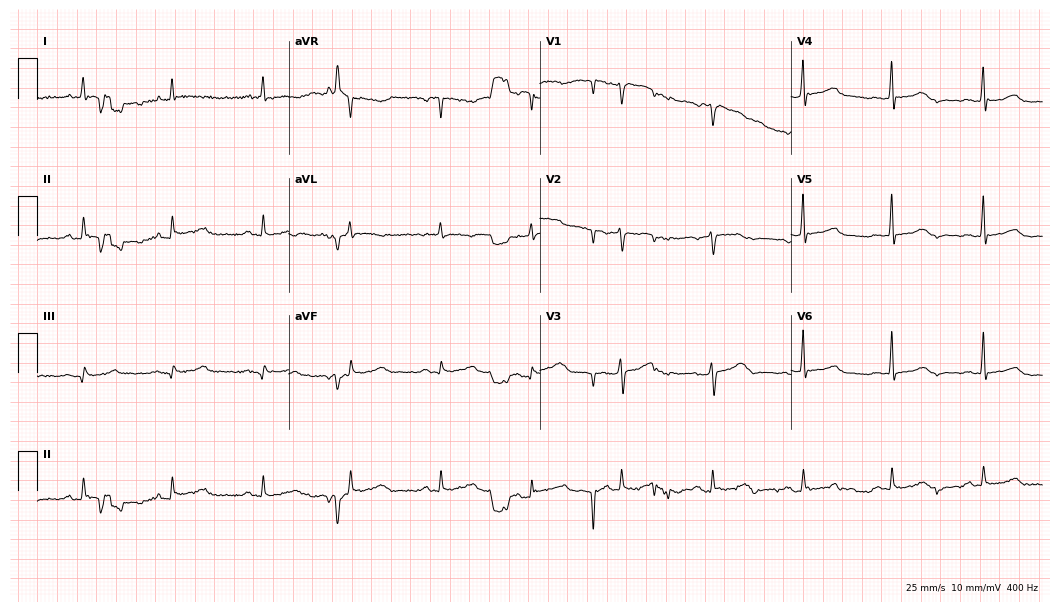
Electrocardiogram, a 65-year-old man. Overall reading on record: normal ECG.